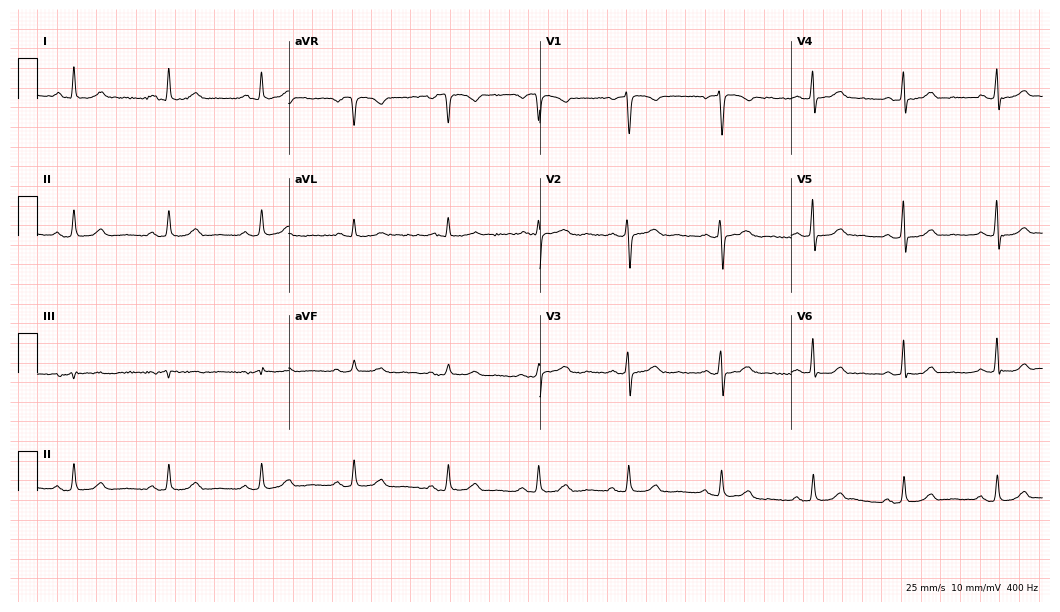
12-lead ECG from a woman, 55 years old (10.2-second recording at 400 Hz). No first-degree AV block, right bundle branch block, left bundle branch block, sinus bradycardia, atrial fibrillation or sinus tachycardia recorded for this tracing.